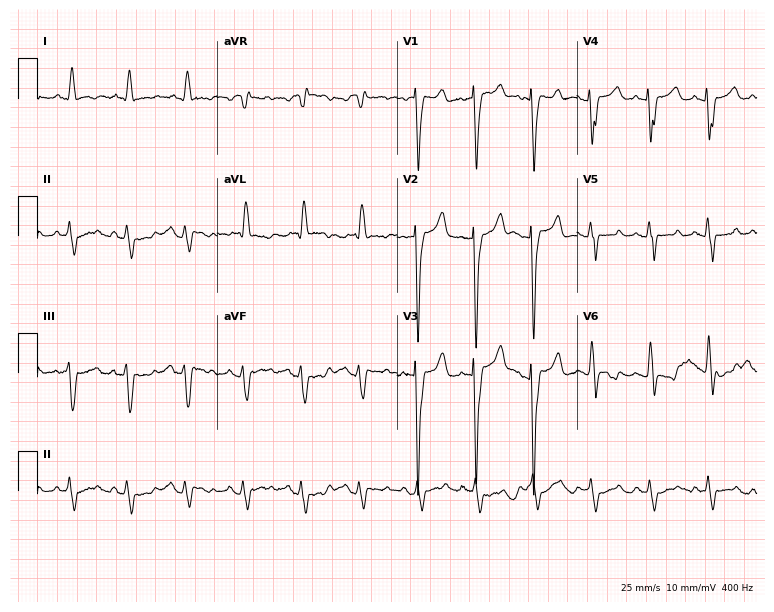
Electrocardiogram, a woman, 82 years old. Of the six screened findings (first-degree AV block, right bundle branch block, left bundle branch block, sinus bradycardia, atrial fibrillation, sinus tachycardia), none is recorded.